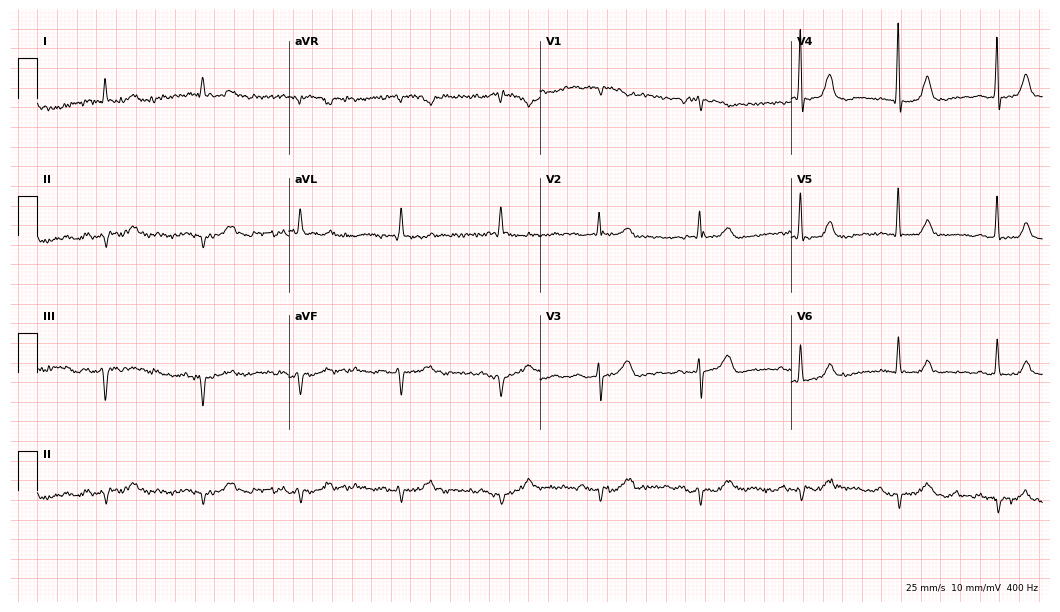
Standard 12-lead ECG recorded from an 85-year-old female patient (10.2-second recording at 400 Hz). None of these six findings is recorded: first-degree AV block, right bundle branch block, left bundle branch block, sinus bradycardia, atrial fibrillation, sinus tachycardia.